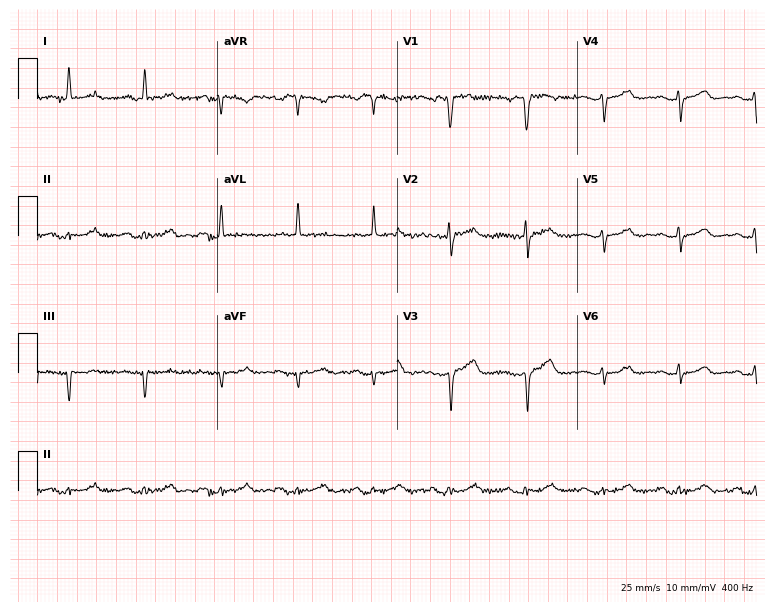
12-lead ECG from a woman, 58 years old (7.3-second recording at 400 Hz). No first-degree AV block, right bundle branch block, left bundle branch block, sinus bradycardia, atrial fibrillation or sinus tachycardia recorded for this tracing. Other findings, if any, are not listed.